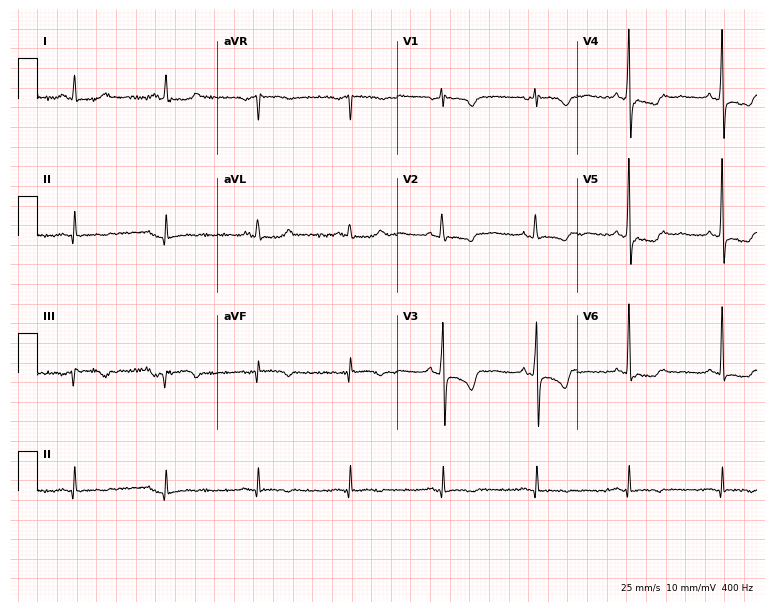
Resting 12-lead electrocardiogram (7.3-second recording at 400 Hz). Patient: a 65-year-old female. None of these six findings is recorded: first-degree AV block, right bundle branch block, left bundle branch block, sinus bradycardia, atrial fibrillation, sinus tachycardia. Other findings, if any, are not listed.